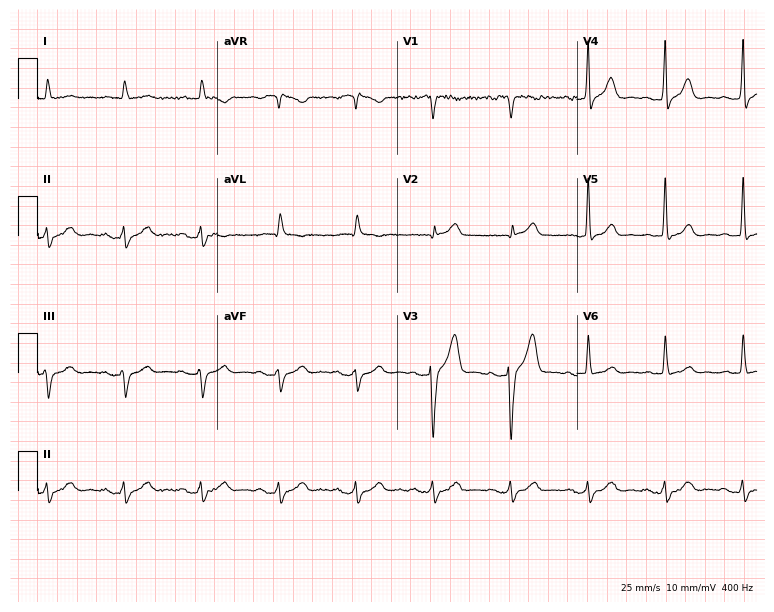
Standard 12-lead ECG recorded from an 81-year-old man (7.3-second recording at 400 Hz). None of these six findings is recorded: first-degree AV block, right bundle branch block, left bundle branch block, sinus bradycardia, atrial fibrillation, sinus tachycardia.